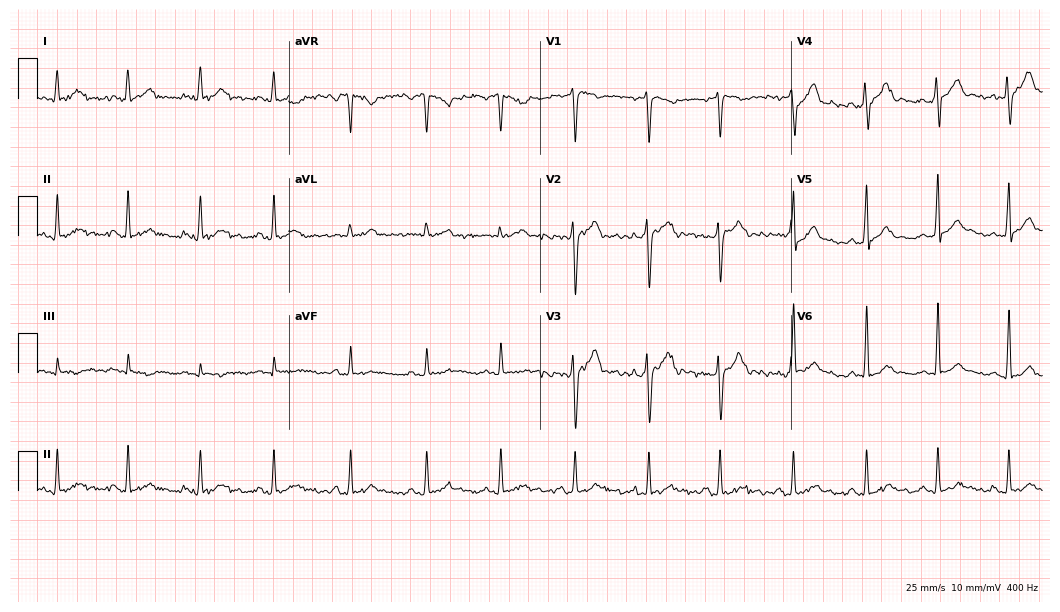
Electrocardiogram, a 35-year-old male. Overall reading on record: normal ECG.